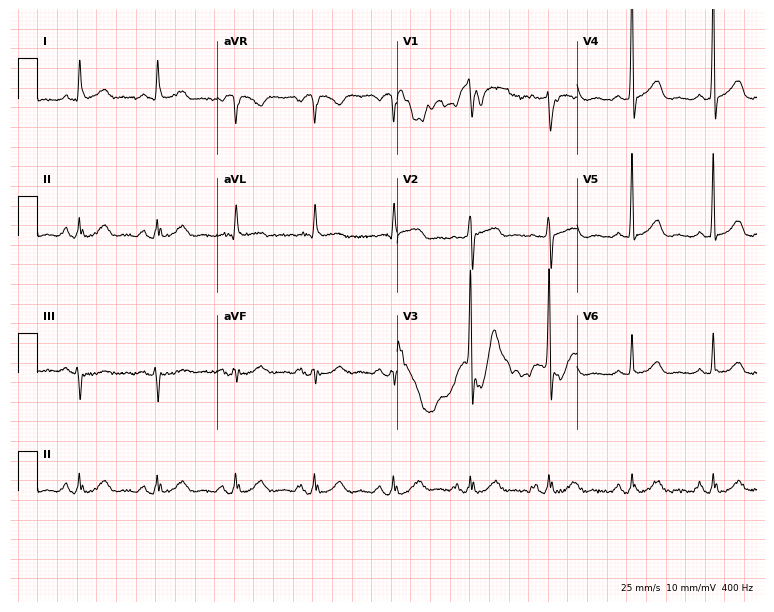
Resting 12-lead electrocardiogram. Patient: a male, 70 years old. None of these six findings is recorded: first-degree AV block, right bundle branch block, left bundle branch block, sinus bradycardia, atrial fibrillation, sinus tachycardia.